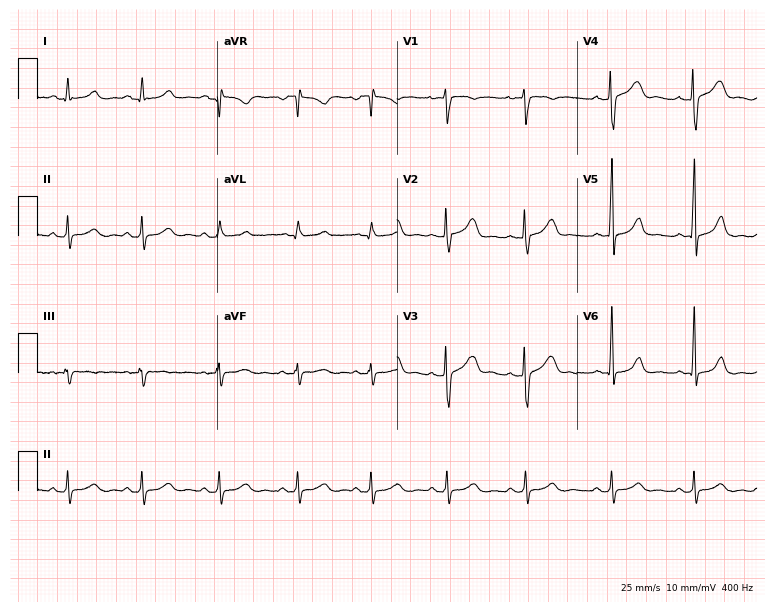
Resting 12-lead electrocardiogram. Patient: a female, 17 years old. Read as a normal ECG.